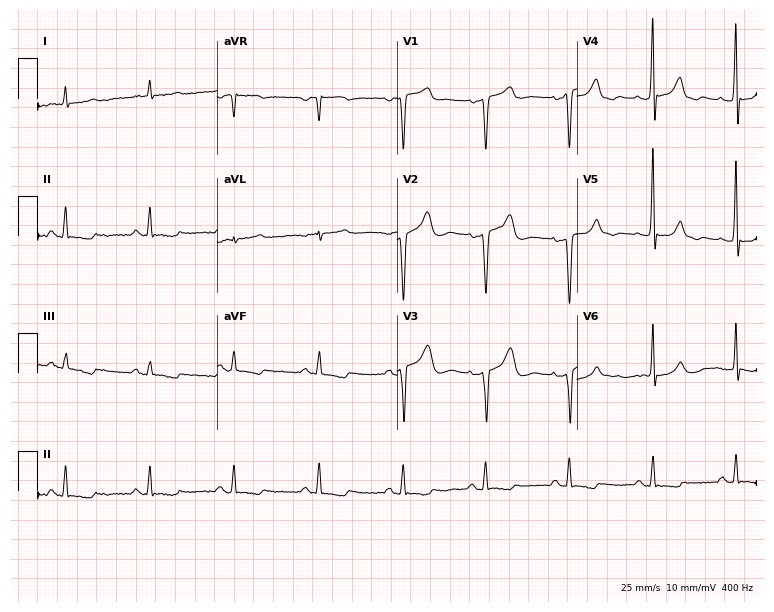
Standard 12-lead ECG recorded from a 67-year-old male patient (7.3-second recording at 400 Hz). None of these six findings is recorded: first-degree AV block, right bundle branch block, left bundle branch block, sinus bradycardia, atrial fibrillation, sinus tachycardia. Findings outside these six are not listed.